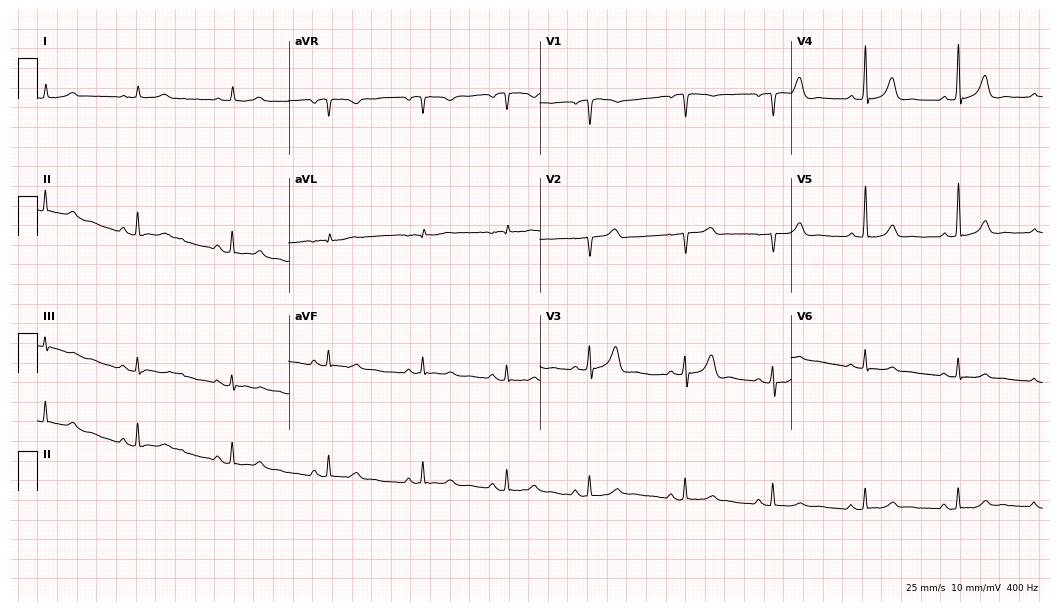
12-lead ECG from a man, 67 years old (10.2-second recording at 400 Hz). Recorded interpretation: within normal limits.